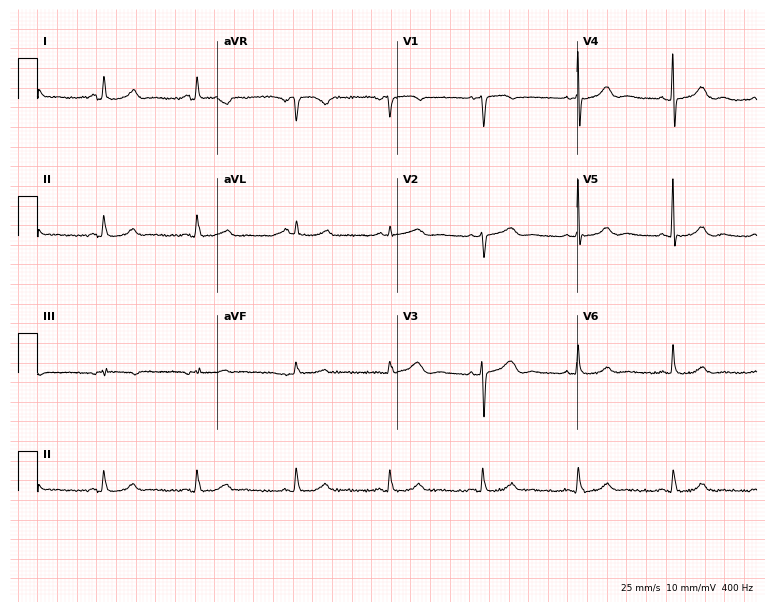
12-lead ECG from a 76-year-old female patient. Labelled as a normal ECG.